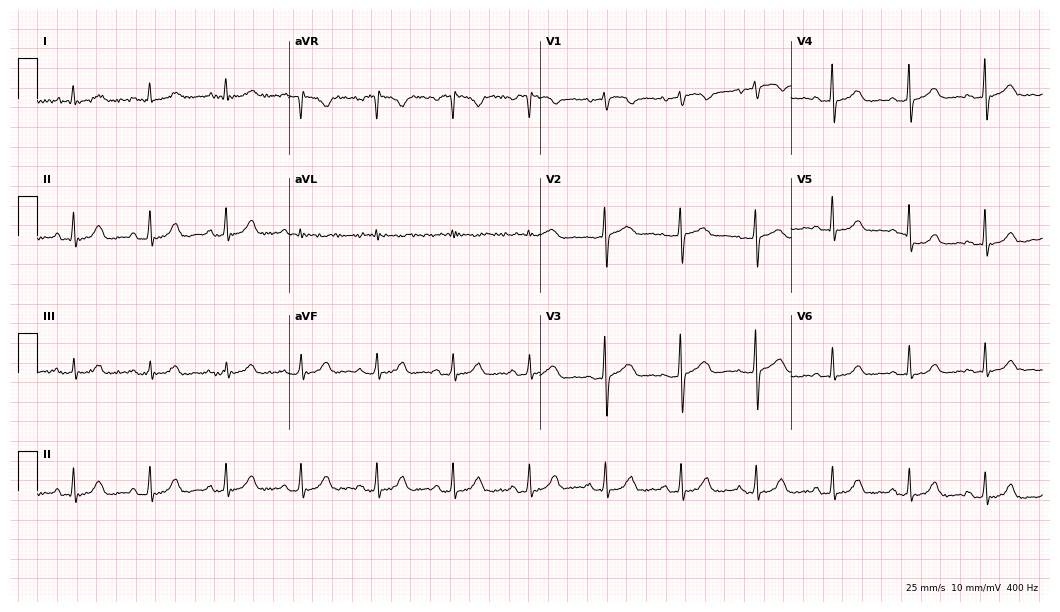
12-lead ECG (10.2-second recording at 400 Hz) from a 73-year-old female. Labelled as a normal ECG.